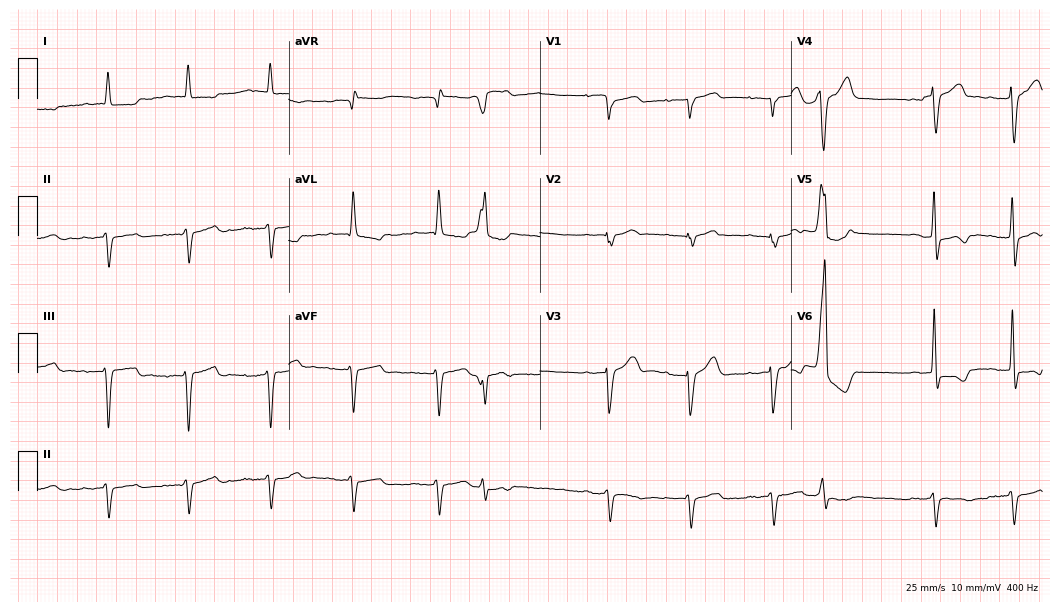
Electrocardiogram (10.2-second recording at 400 Hz), a female, 85 years old. Interpretation includes left bundle branch block.